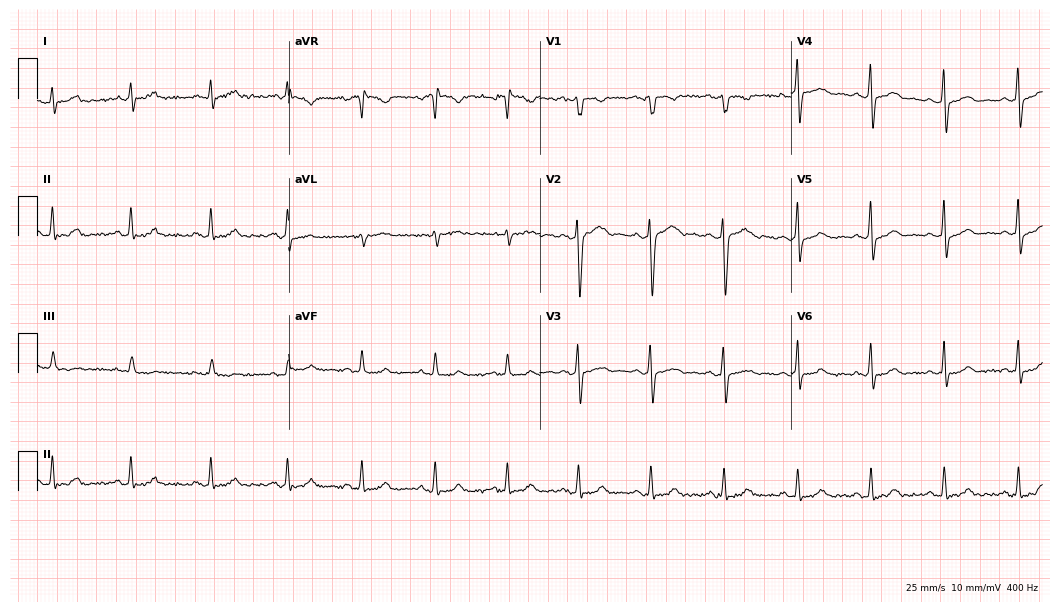
12-lead ECG from a female patient, 36 years old. Labelled as a normal ECG.